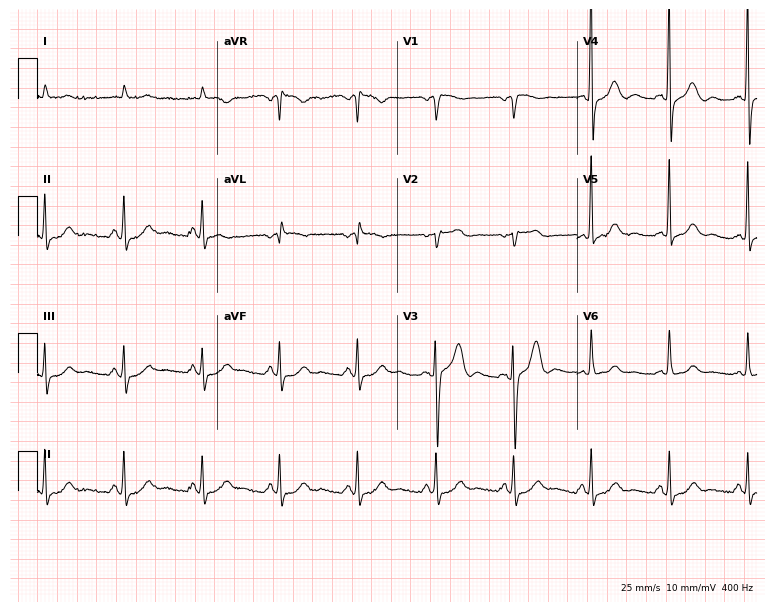
Resting 12-lead electrocardiogram. Patient: a male, 82 years old. Read as a normal ECG.